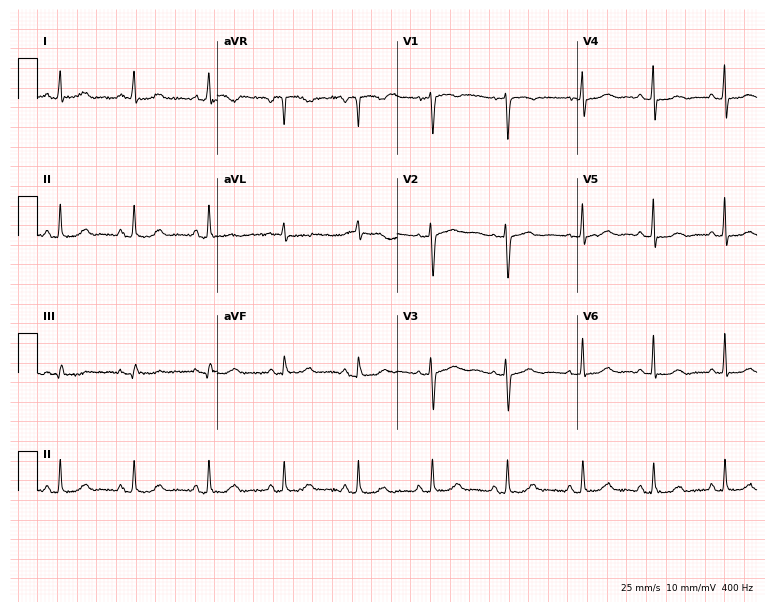
Electrocardiogram, a 63-year-old woman. Of the six screened findings (first-degree AV block, right bundle branch block, left bundle branch block, sinus bradycardia, atrial fibrillation, sinus tachycardia), none is recorded.